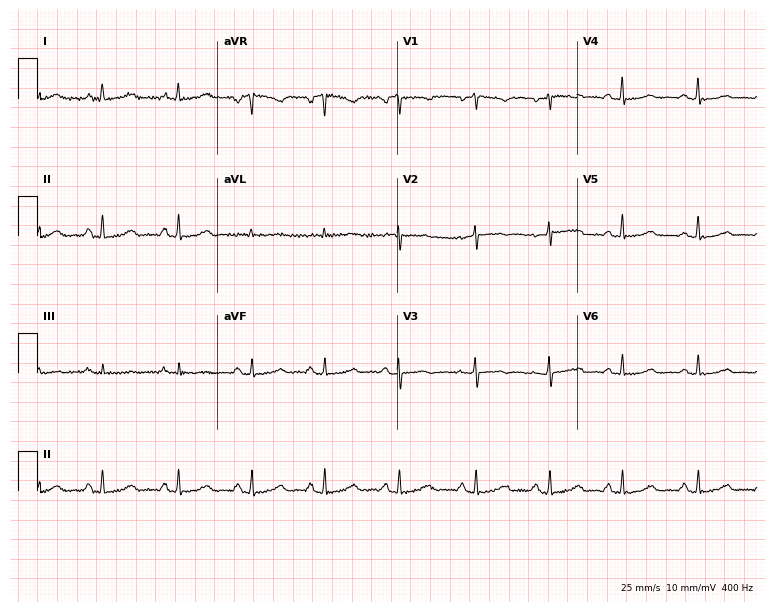
Electrocardiogram (7.3-second recording at 400 Hz), a female, 47 years old. Overall reading on record: normal ECG.